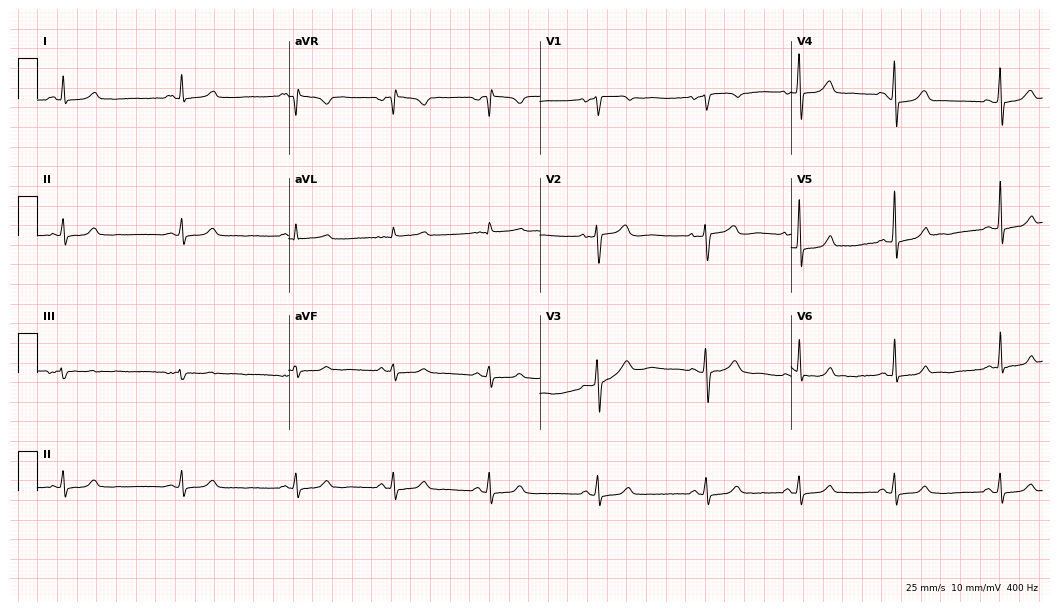
Standard 12-lead ECG recorded from a 36-year-old woman. None of these six findings is recorded: first-degree AV block, right bundle branch block, left bundle branch block, sinus bradycardia, atrial fibrillation, sinus tachycardia. Other findings, if any, are not listed.